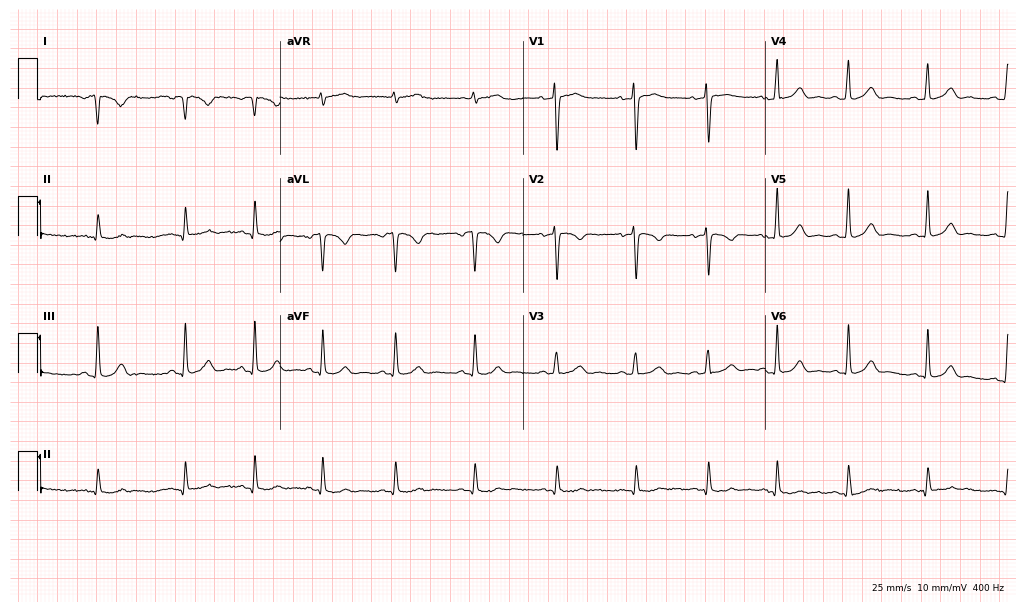
Resting 12-lead electrocardiogram (9.9-second recording at 400 Hz). Patient: a 32-year-old woman. None of these six findings is recorded: first-degree AV block, right bundle branch block, left bundle branch block, sinus bradycardia, atrial fibrillation, sinus tachycardia.